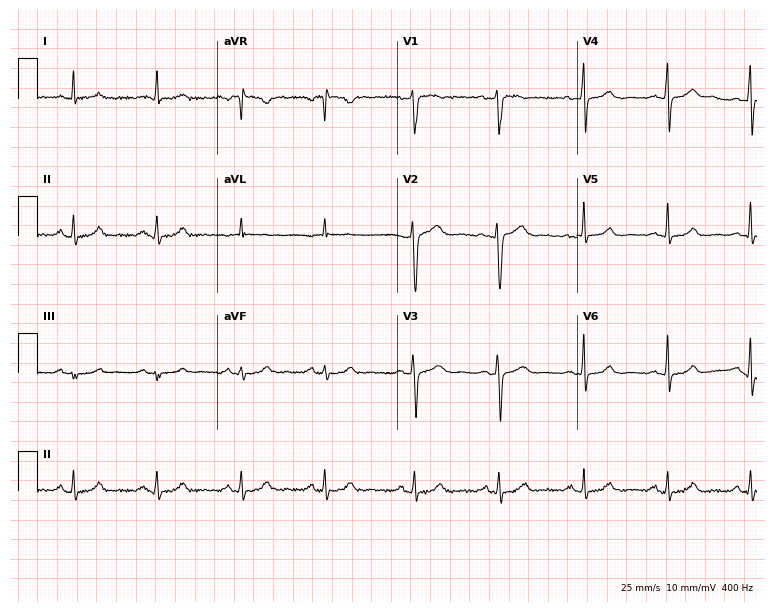
12-lead ECG from a woman, 42 years old (7.3-second recording at 400 Hz). Recorded interpretation: within normal limits.